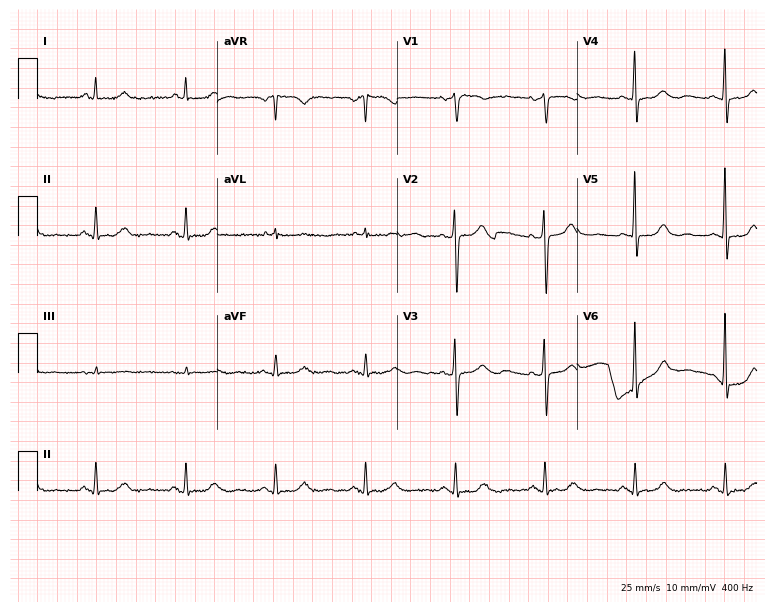
Resting 12-lead electrocardiogram. Patient: an 83-year-old female. None of these six findings is recorded: first-degree AV block, right bundle branch block (RBBB), left bundle branch block (LBBB), sinus bradycardia, atrial fibrillation (AF), sinus tachycardia.